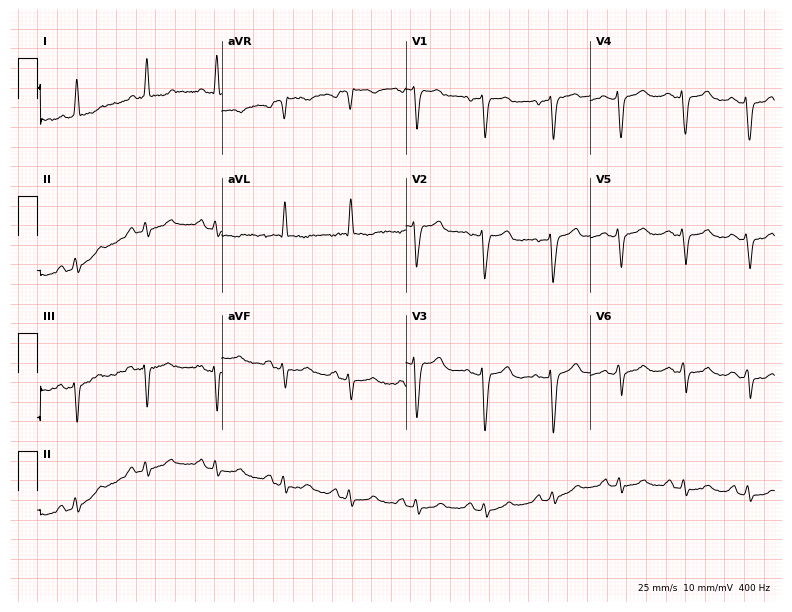
Electrocardiogram (7.5-second recording at 400 Hz), a 68-year-old female patient. Of the six screened findings (first-degree AV block, right bundle branch block, left bundle branch block, sinus bradycardia, atrial fibrillation, sinus tachycardia), none is recorded. Other findings, if any, are not listed.